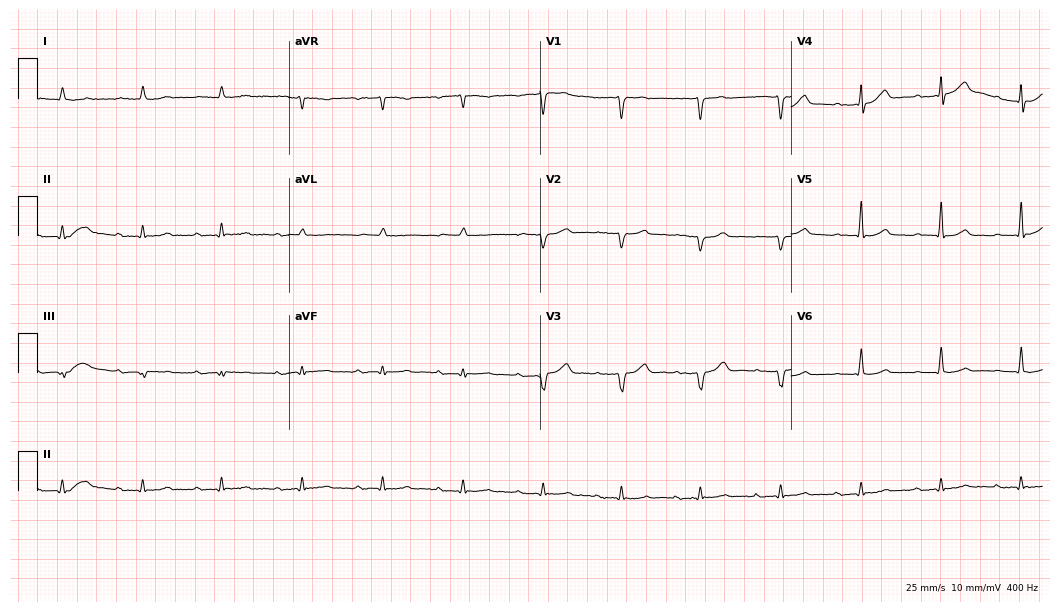
12-lead ECG from a male, 73 years old. Findings include first-degree AV block.